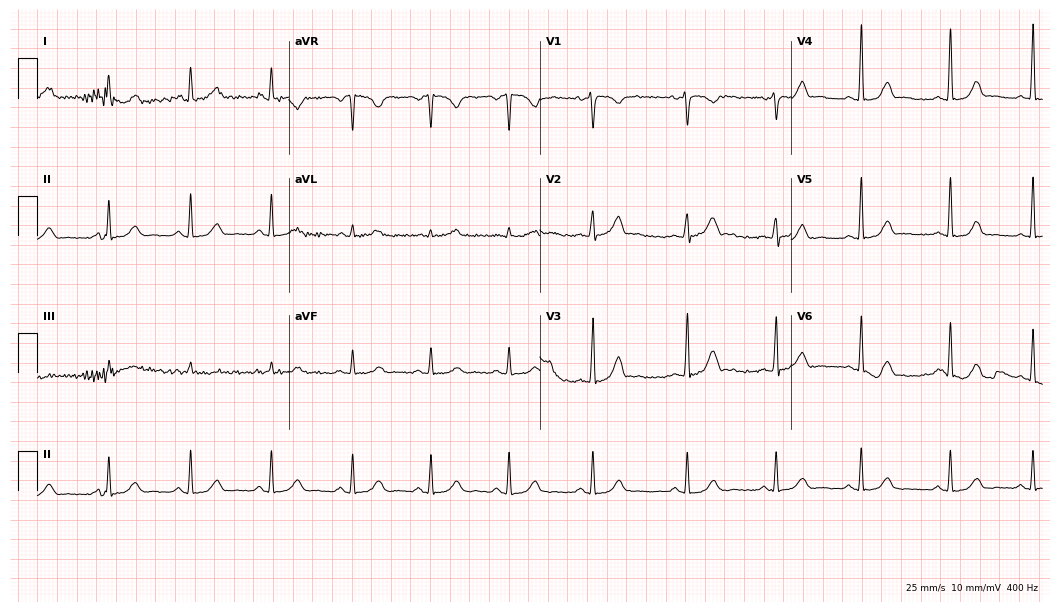
Electrocardiogram, a 38-year-old female. Overall reading on record: normal ECG.